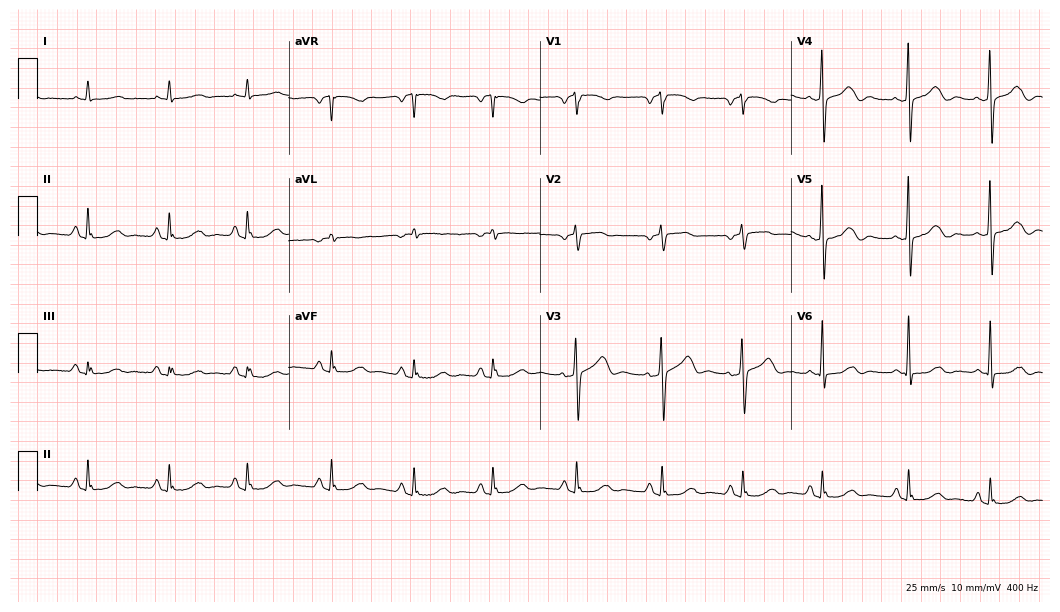
Resting 12-lead electrocardiogram. Patient: a 71-year-old female. Read as a normal ECG.